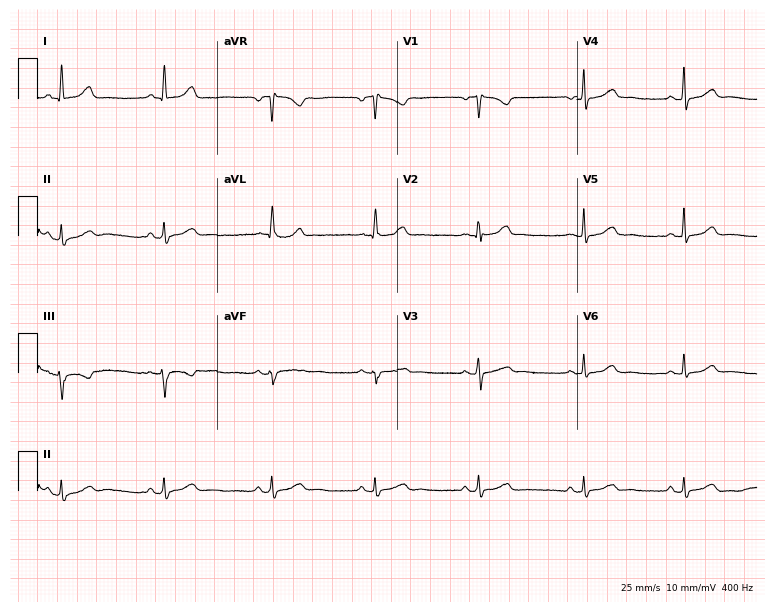
Standard 12-lead ECG recorded from a 30-year-old female patient (7.3-second recording at 400 Hz). None of these six findings is recorded: first-degree AV block, right bundle branch block (RBBB), left bundle branch block (LBBB), sinus bradycardia, atrial fibrillation (AF), sinus tachycardia.